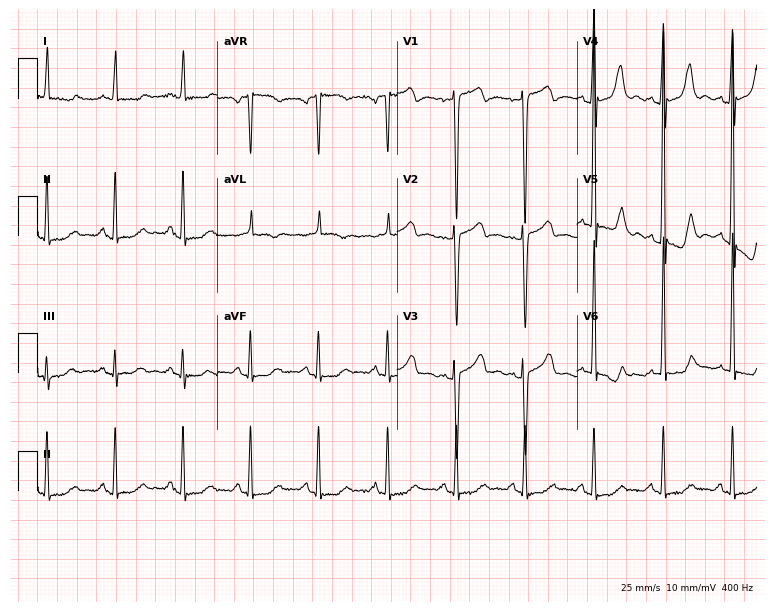
Standard 12-lead ECG recorded from a 67-year-old woman. None of these six findings is recorded: first-degree AV block, right bundle branch block, left bundle branch block, sinus bradycardia, atrial fibrillation, sinus tachycardia.